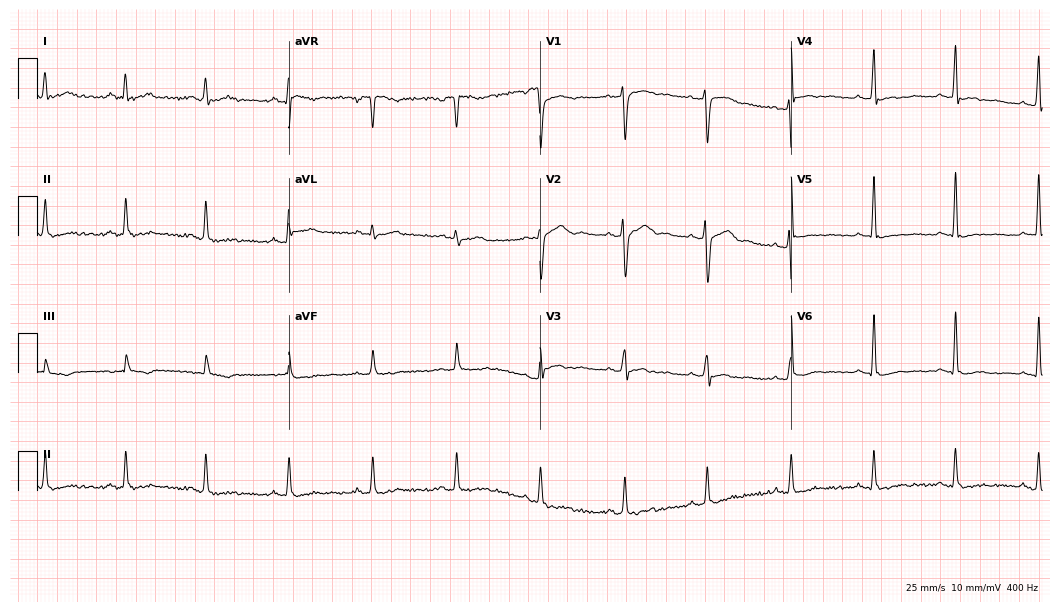
Resting 12-lead electrocardiogram. Patient: a male, 37 years old. None of these six findings is recorded: first-degree AV block, right bundle branch block, left bundle branch block, sinus bradycardia, atrial fibrillation, sinus tachycardia. Other findings, if any, are not listed.